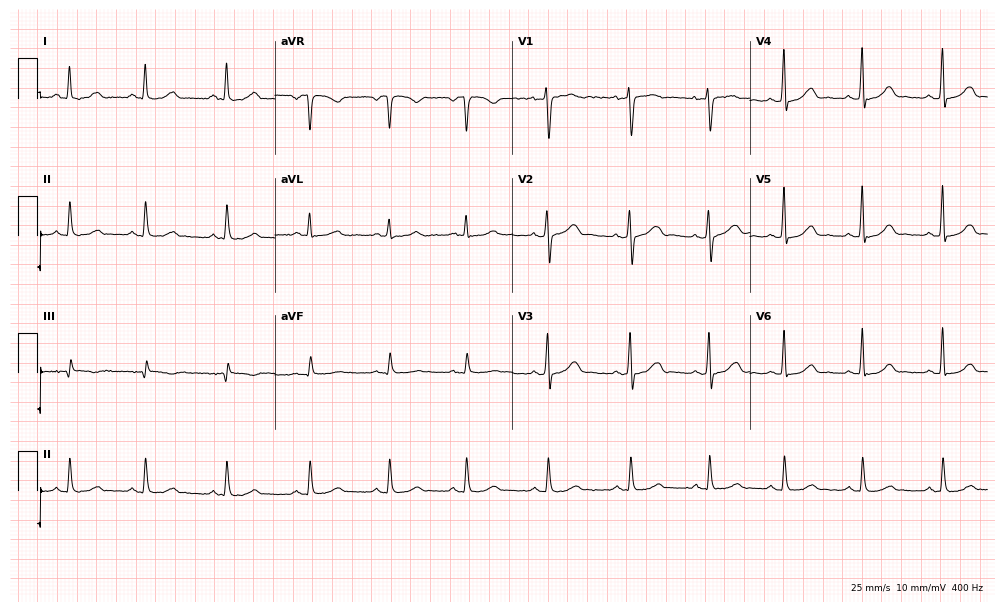
12-lead ECG from a female, 42 years old. Recorded interpretation: within normal limits.